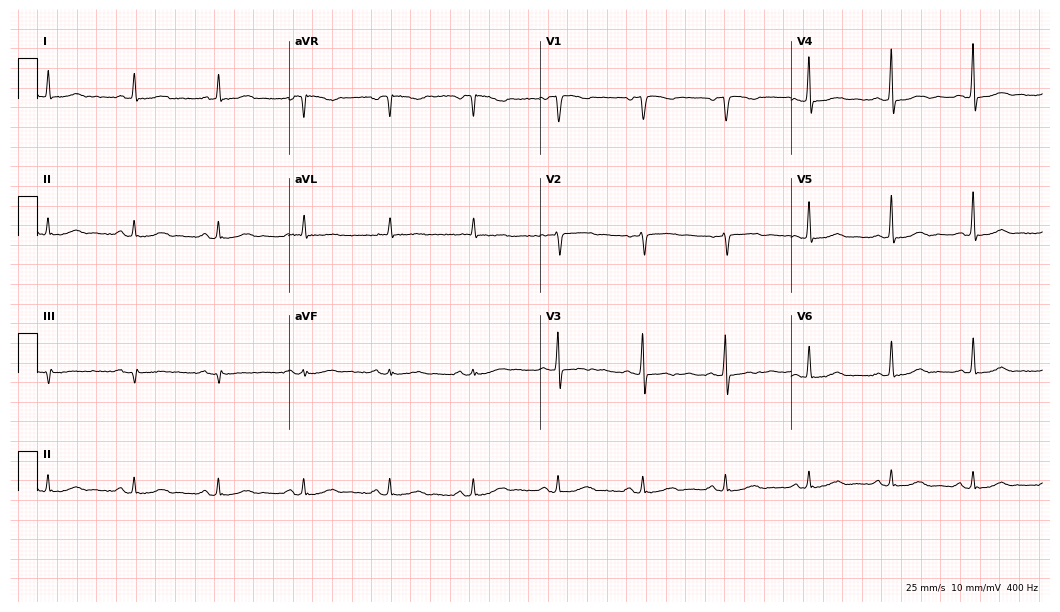
ECG (10.2-second recording at 400 Hz) — a 65-year-old woman. Labelled as a normal ECG.